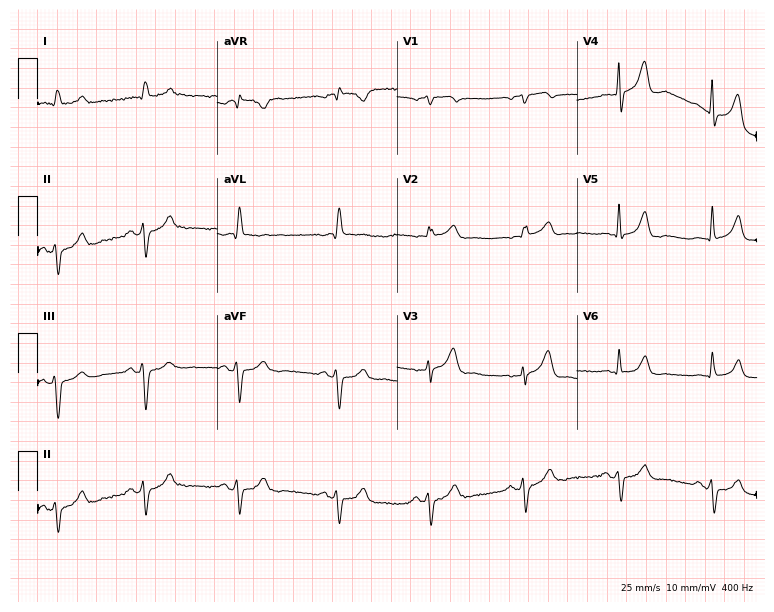
12-lead ECG from a 71-year-old male (7.3-second recording at 400 Hz). No first-degree AV block, right bundle branch block (RBBB), left bundle branch block (LBBB), sinus bradycardia, atrial fibrillation (AF) or sinus tachycardia recorded for this tracing.